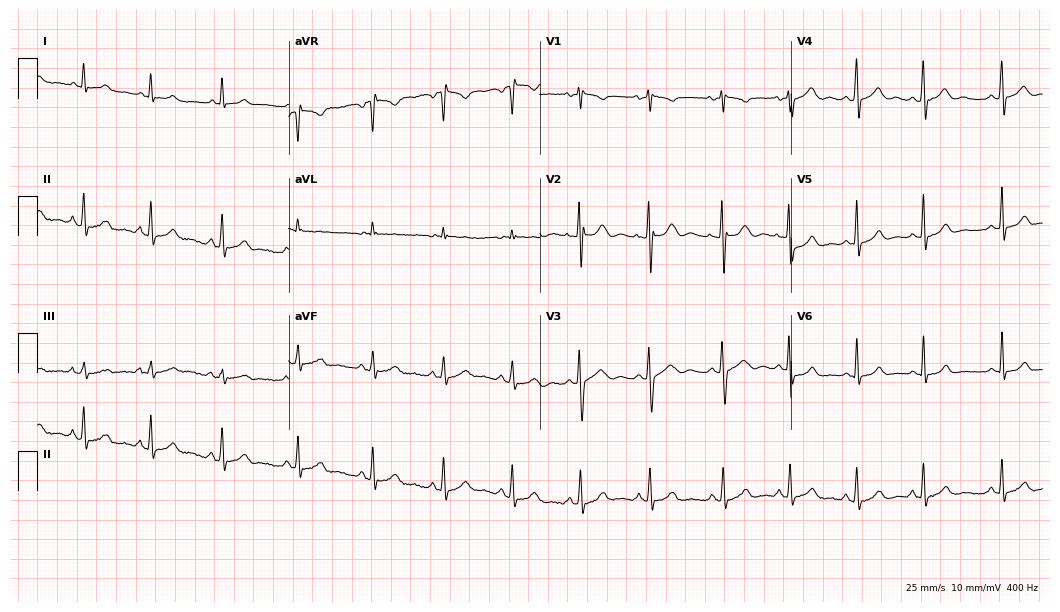
Resting 12-lead electrocardiogram (10.2-second recording at 400 Hz). Patient: a female, 17 years old. None of these six findings is recorded: first-degree AV block, right bundle branch block (RBBB), left bundle branch block (LBBB), sinus bradycardia, atrial fibrillation (AF), sinus tachycardia. Other findings, if any, are not listed.